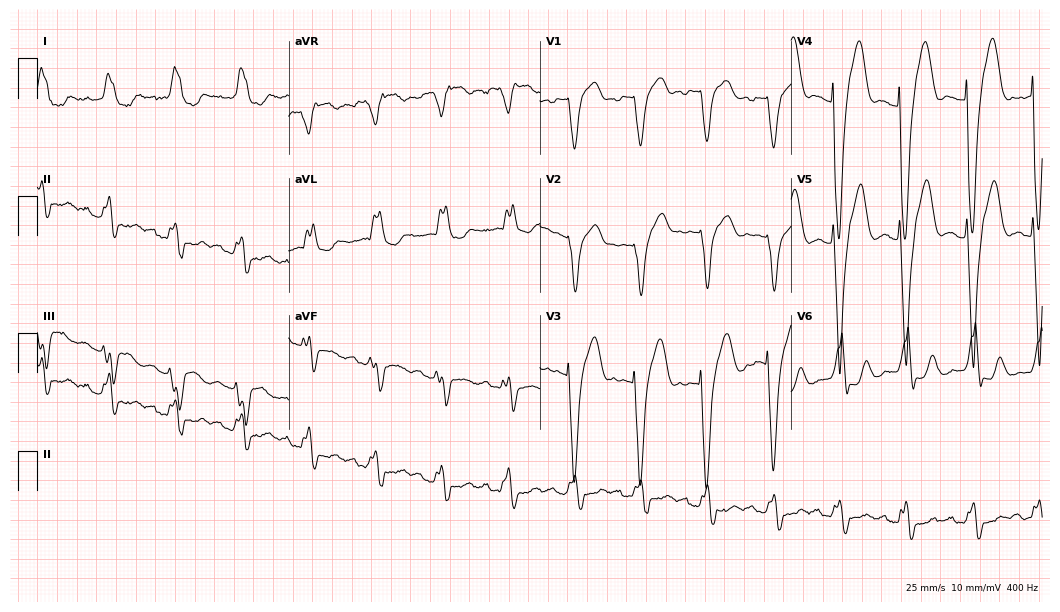
Standard 12-lead ECG recorded from a male patient, 85 years old (10.2-second recording at 400 Hz). The tracing shows first-degree AV block, left bundle branch block.